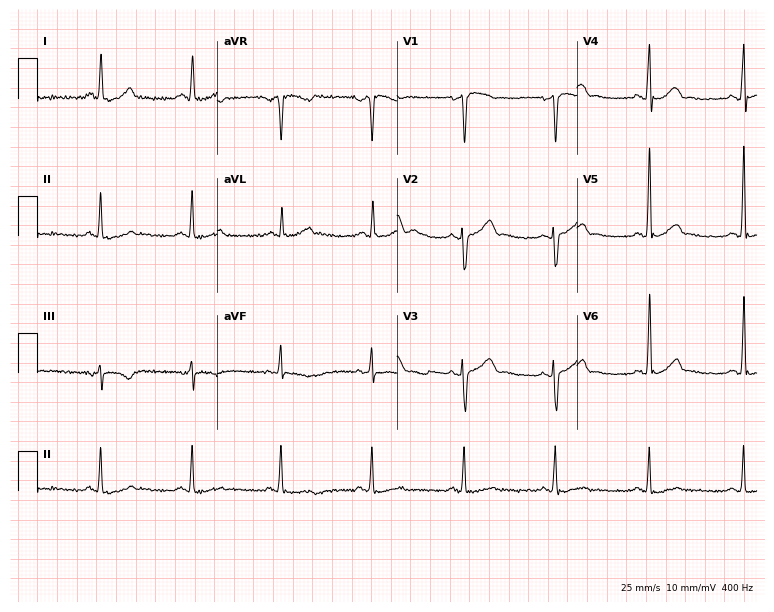
Electrocardiogram, a 42-year-old man. Overall reading on record: normal ECG.